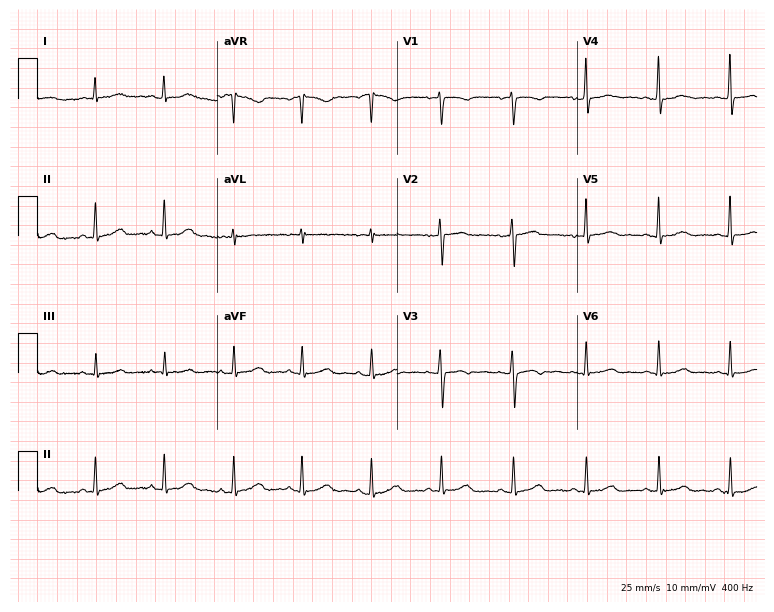
12-lead ECG from a woman, 44 years old. Labelled as a normal ECG.